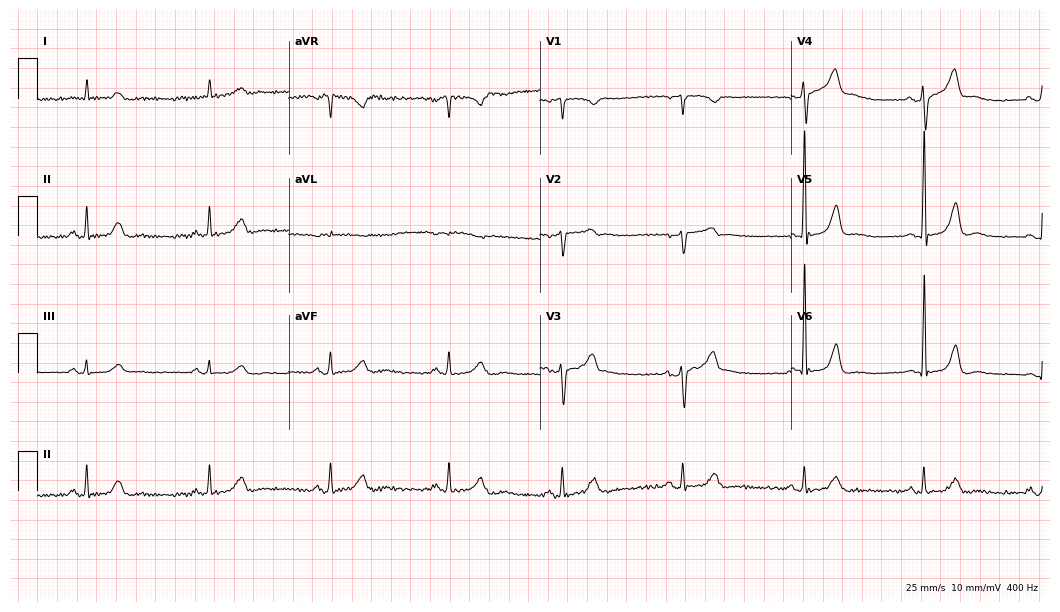
12-lead ECG (10.2-second recording at 400 Hz) from an 82-year-old man. Findings include sinus bradycardia (a sinus rate of 50 beats per minute or less).